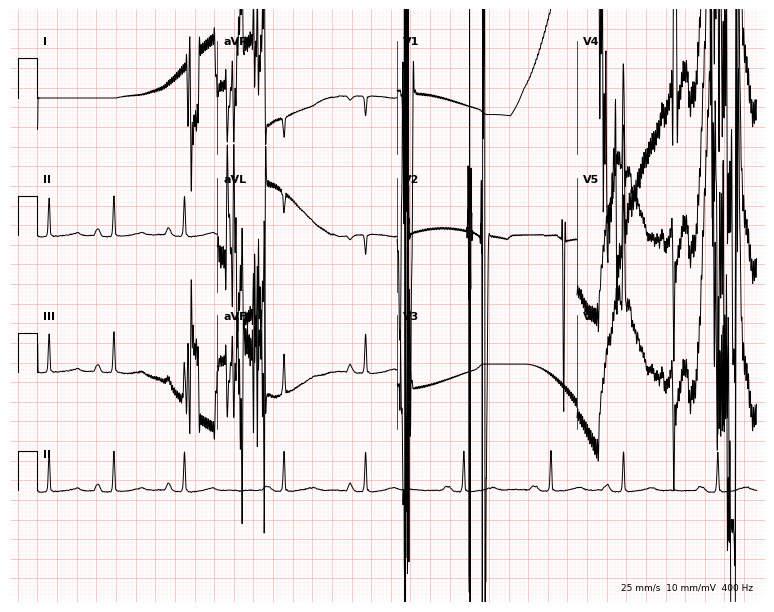
12-lead ECG from a male, 82 years old. No first-degree AV block, right bundle branch block (RBBB), left bundle branch block (LBBB), sinus bradycardia, atrial fibrillation (AF) or sinus tachycardia recorded for this tracing. Findings outside these six are not listed.